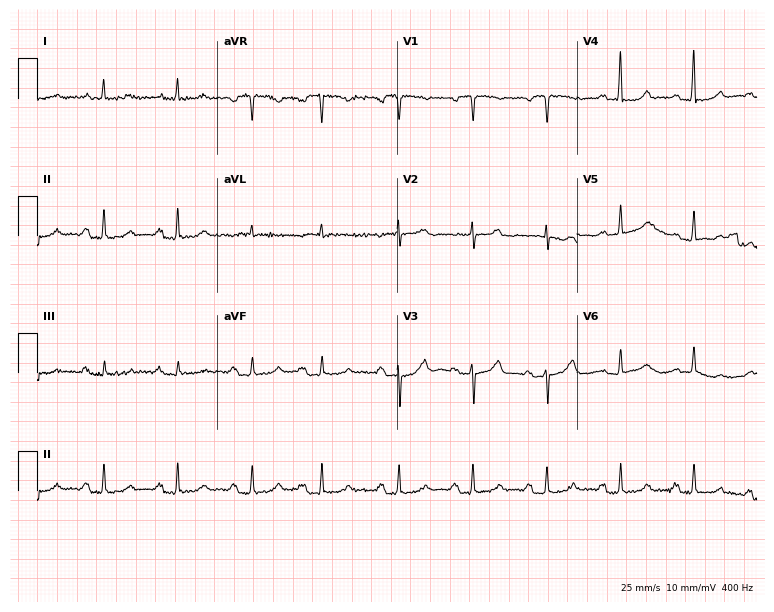
Electrocardiogram (7.3-second recording at 400 Hz), an 84-year-old female. Overall reading on record: normal ECG.